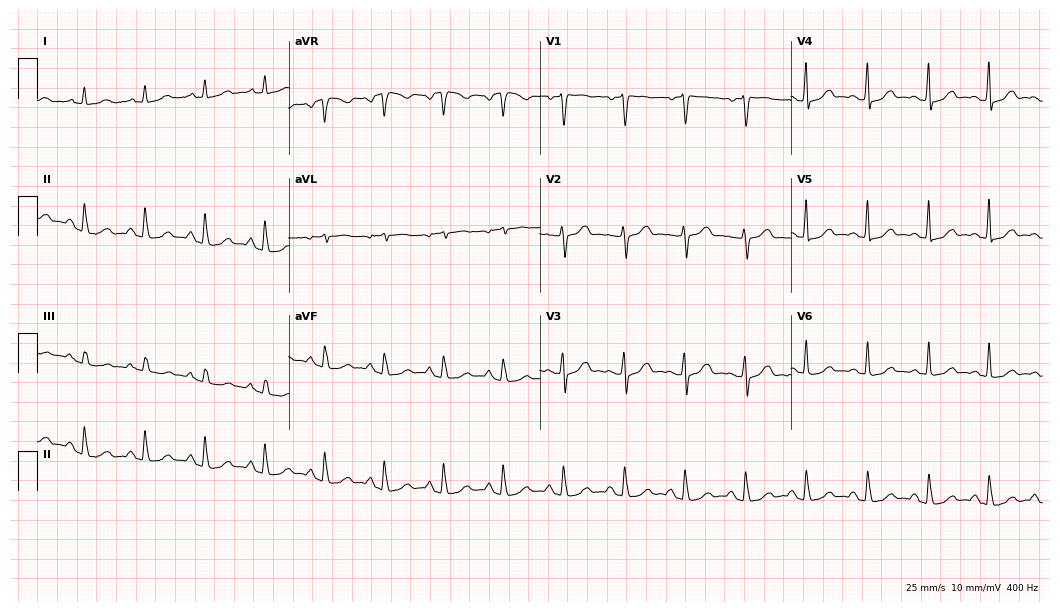
ECG (10.2-second recording at 400 Hz) — a woman, 43 years old. Screened for six findings — first-degree AV block, right bundle branch block, left bundle branch block, sinus bradycardia, atrial fibrillation, sinus tachycardia — none is recorded. Other findings, if any, are not listed.